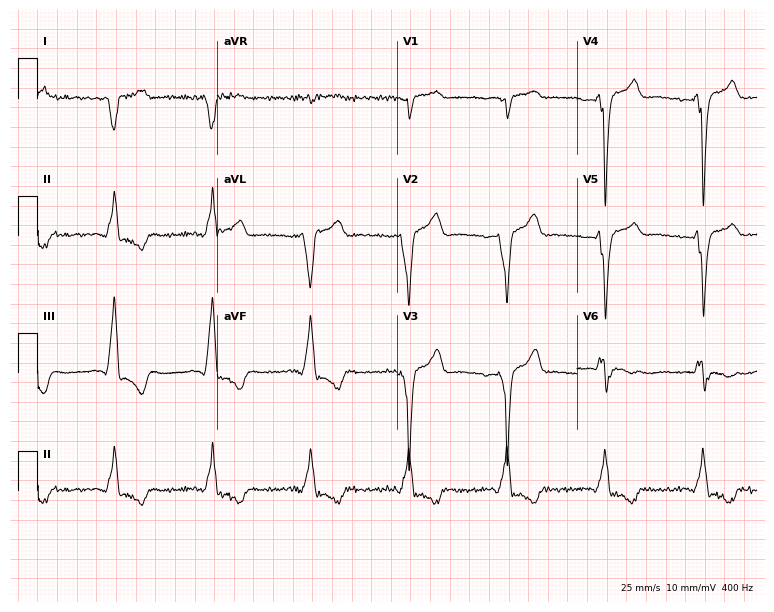
ECG — a man, 64 years old. Screened for six findings — first-degree AV block, right bundle branch block, left bundle branch block, sinus bradycardia, atrial fibrillation, sinus tachycardia — none is recorded.